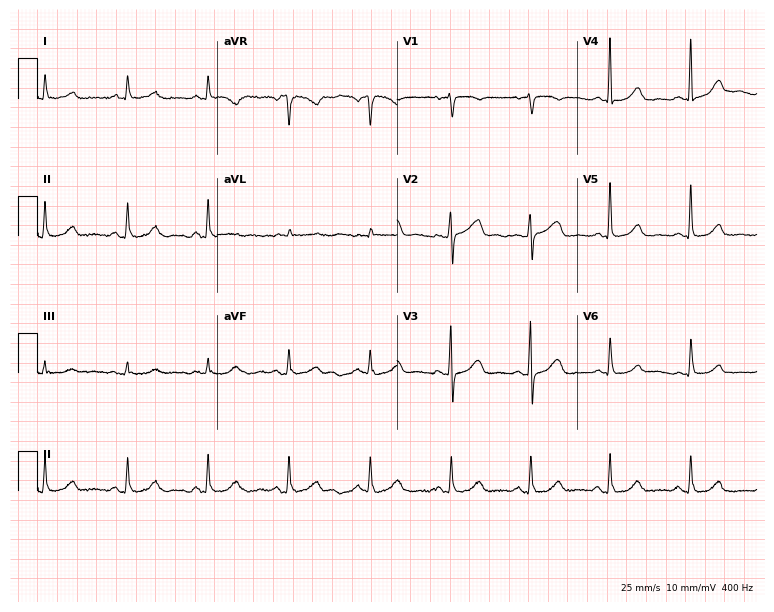
ECG (7.3-second recording at 400 Hz) — a female, 70 years old. Labelled as a normal ECG.